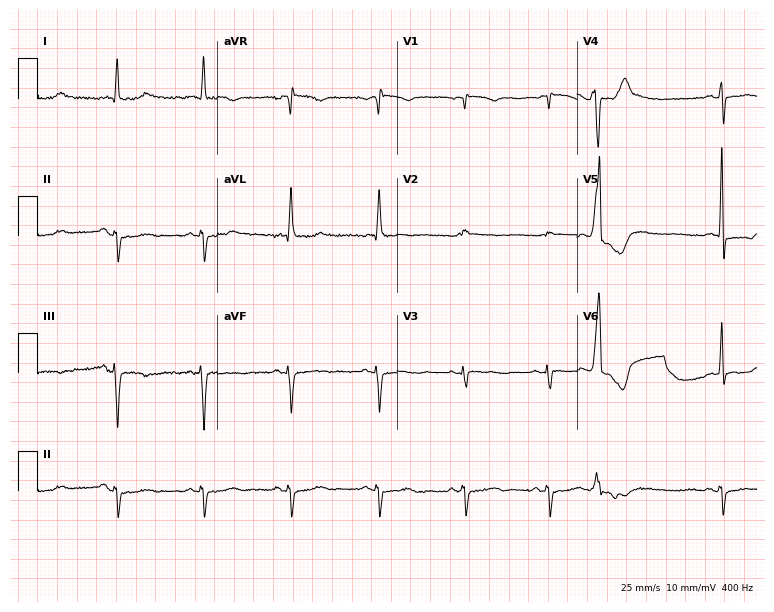
ECG — a female patient, 74 years old. Screened for six findings — first-degree AV block, right bundle branch block, left bundle branch block, sinus bradycardia, atrial fibrillation, sinus tachycardia — none is recorded. Findings outside these six are not listed.